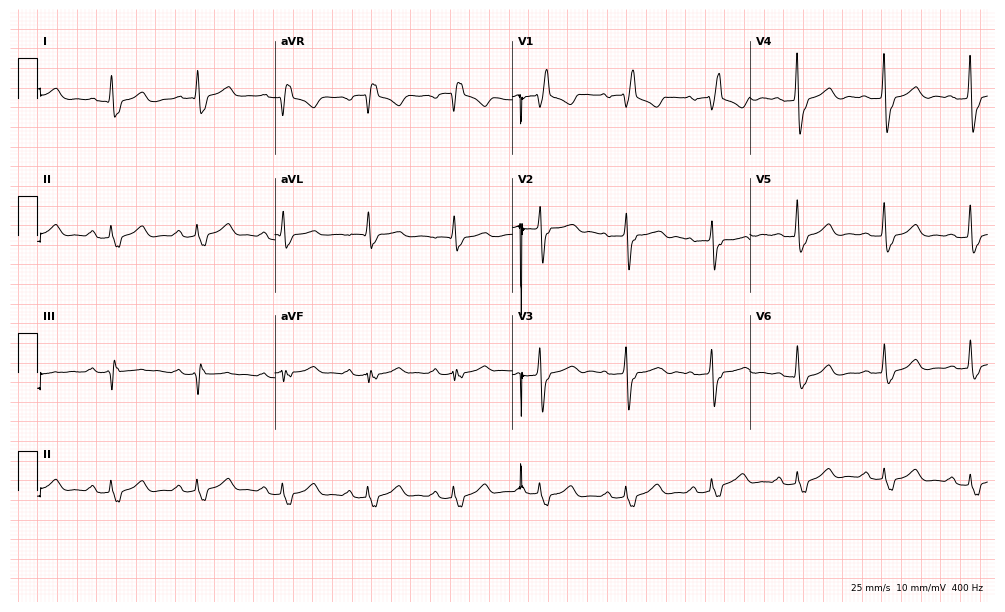
Resting 12-lead electrocardiogram. Patient: a 73-year-old female. The tracing shows right bundle branch block.